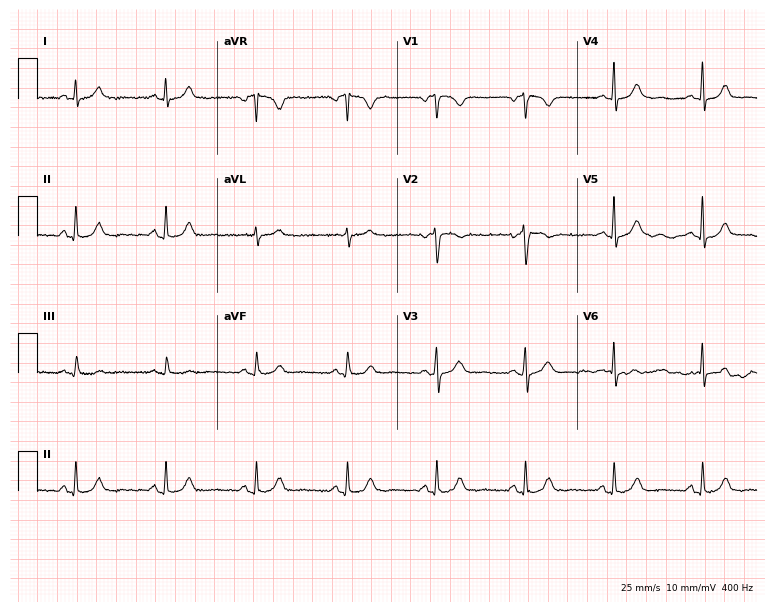
12-lead ECG from a 55-year-old female (7.3-second recording at 400 Hz). Recorded interpretation: within normal limits.